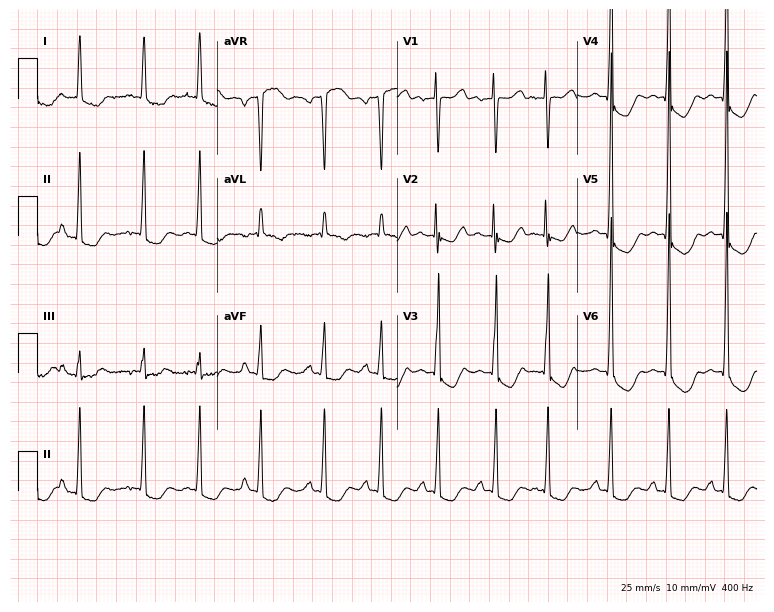
Resting 12-lead electrocardiogram (7.3-second recording at 400 Hz). Patient: an 80-year-old woman. The tracing shows sinus tachycardia (a sinus rate of 100 beats per minute or more).